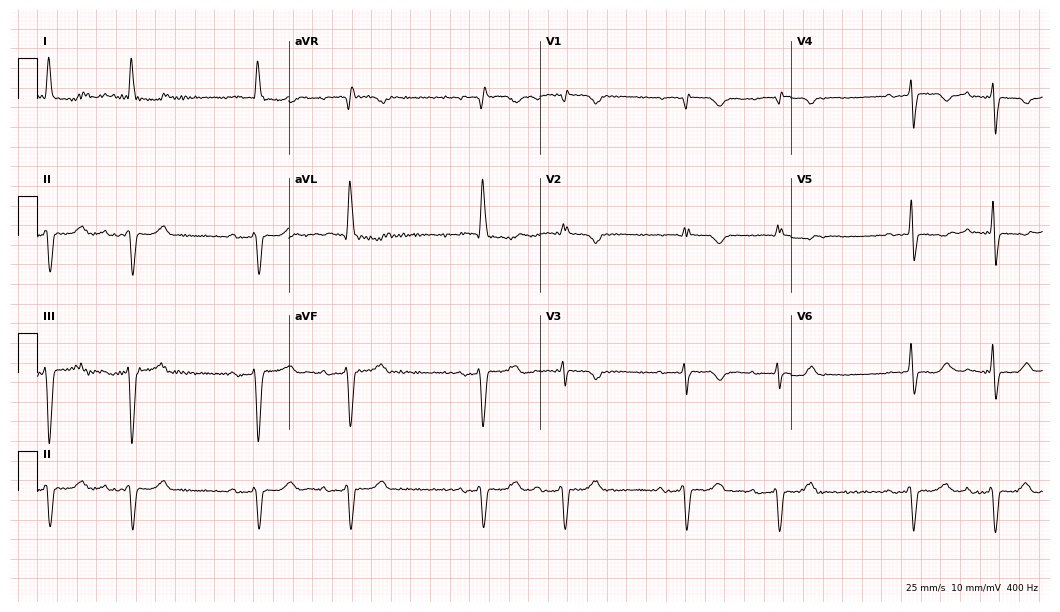
12-lead ECG (10.2-second recording at 400 Hz) from a woman, 77 years old. Findings include first-degree AV block.